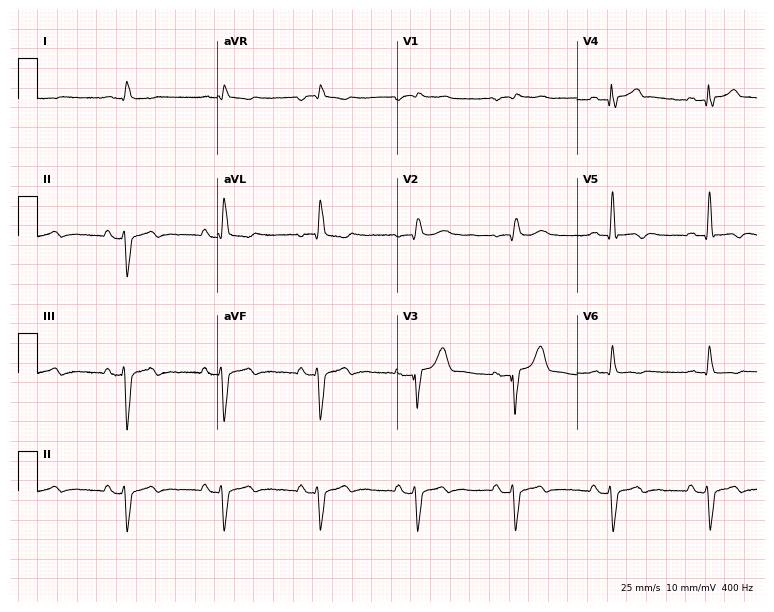
Standard 12-lead ECG recorded from a man, 69 years old. None of these six findings is recorded: first-degree AV block, right bundle branch block, left bundle branch block, sinus bradycardia, atrial fibrillation, sinus tachycardia. Only these six findings were labelled.